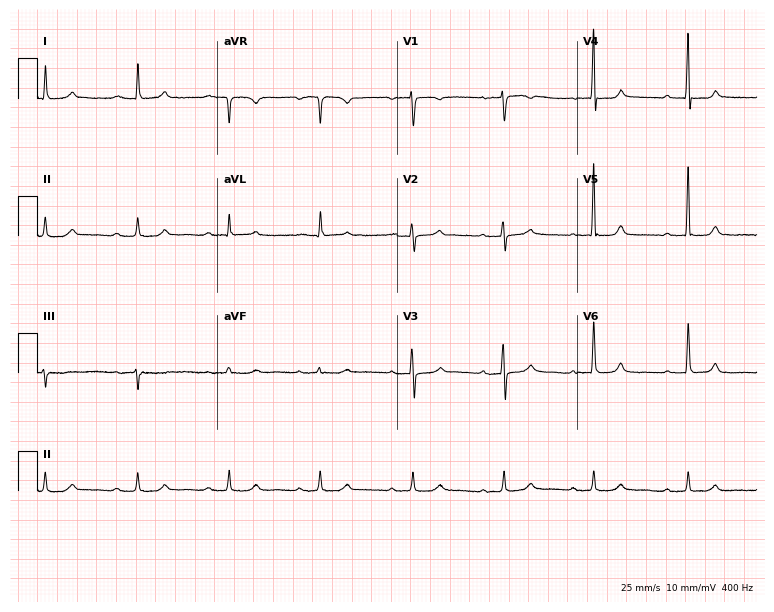
ECG — a woman, 74 years old. Labelled as a normal ECG.